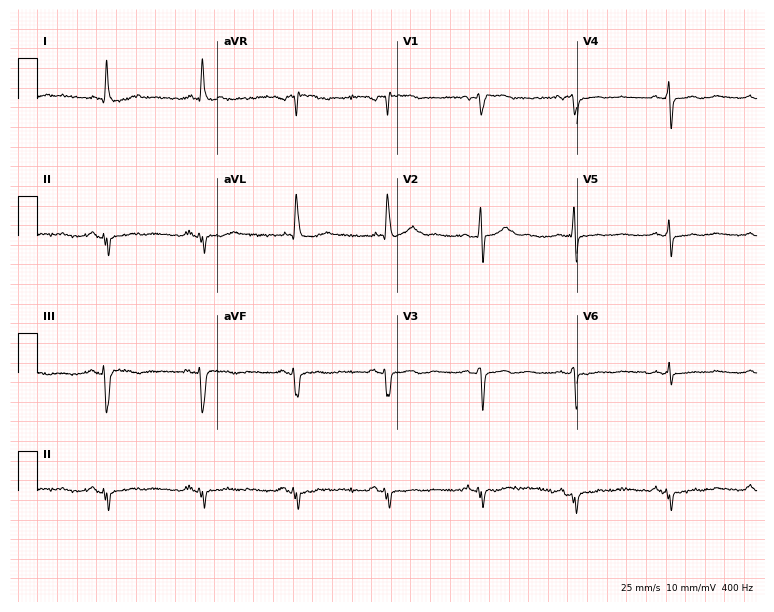
Resting 12-lead electrocardiogram (7.3-second recording at 400 Hz). Patient: a female, 72 years old. None of these six findings is recorded: first-degree AV block, right bundle branch block, left bundle branch block, sinus bradycardia, atrial fibrillation, sinus tachycardia.